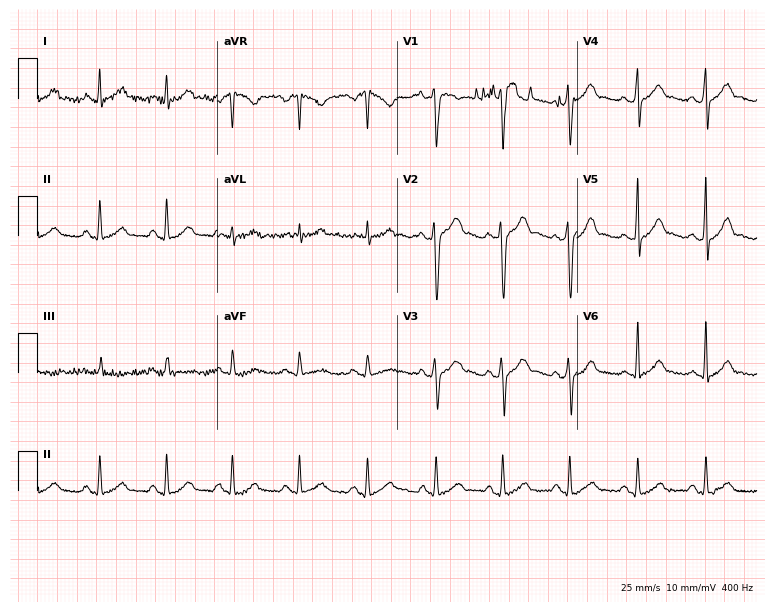
Standard 12-lead ECG recorded from a male patient, 23 years old (7.3-second recording at 400 Hz). Read as a normal ECG.